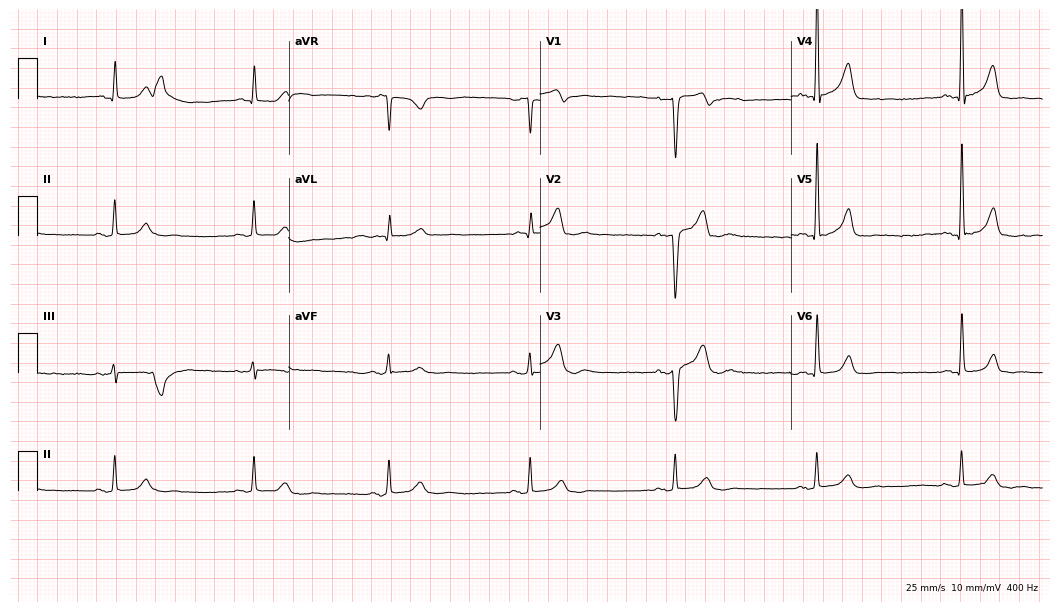
Standard 12-lead ECG recorded from a male patient, 44 years old (10.2-second recording at 400 Hz). The tracing shows sinus bradycardia (a sinus rate of 50 beats per minute or less).